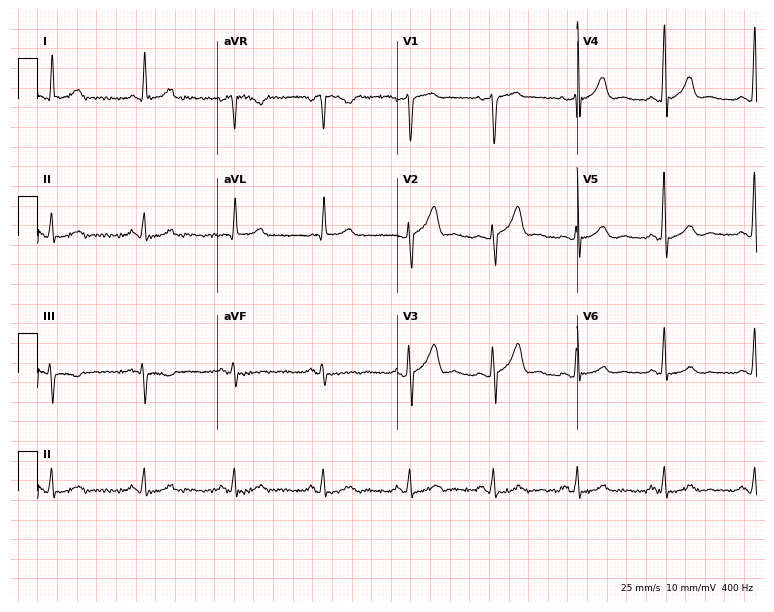
Electrocardiogram (7.3-second recording at 400 Hz), a male, 53 years old. Overall reading on record: normal ECG.